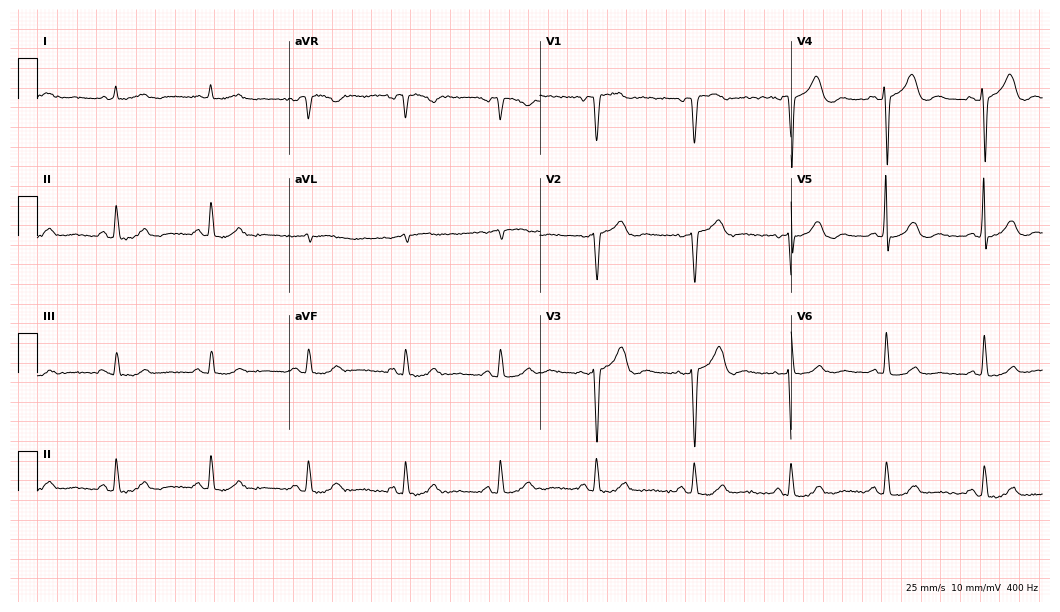
12-lead ECG from an 83-year-old male. Screened for six findings — first-degree AV block, right bundle branch block, left bundle branch block, sinus bradycardia, atrial fibrillation, sinus tachycardia — none is recorded.